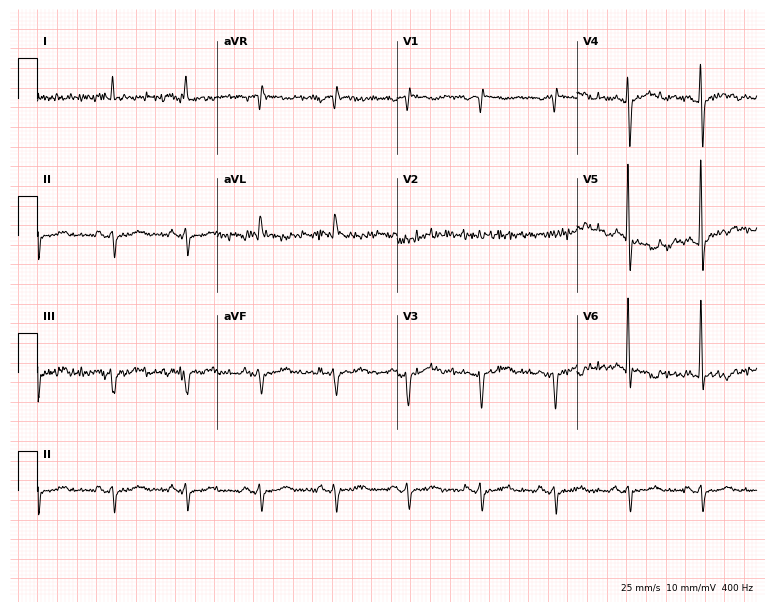
12-lead ECG (7.3-second recording at 400 Hz) from a female patient, 67 years old. Screened for six findings — first-degree AV block, right bundle branch block, left bundle branch block, sinus bradycardia, atrial fibrillation, sinus tachycardia — none is recorded. Only these six findings were labelled.